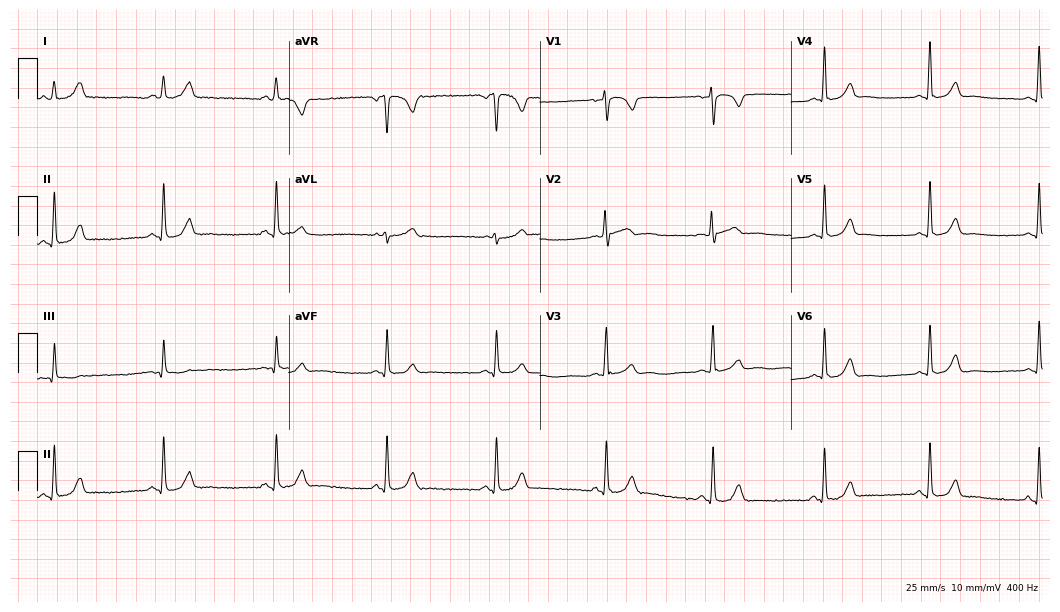
ECG (10.2-second recording at 400 Hz) — a woman, 34 years old. Labelled as a normal ECG.